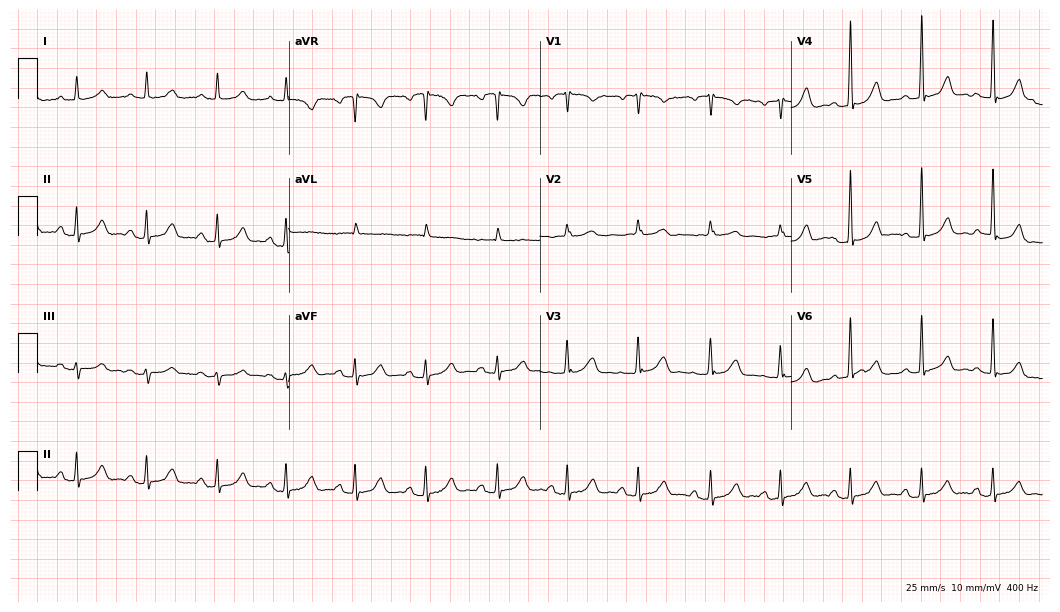
12-lead ECG from a woman, 67 years old (10.2-second recording at 400 Hz). Recorded interpretation: within normal limits.